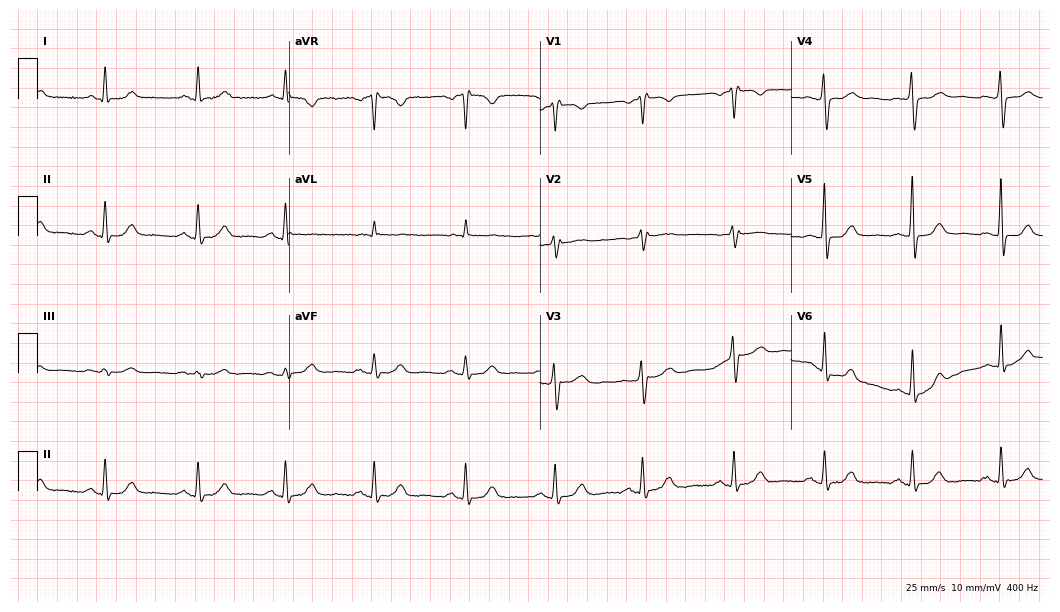
Standard 12-lead ECG recorded from a female, 76 years old. None of these six findings is recorded: first-degree AV block, right bundle branch block, left bundle branch block, sinus bradycardia, atrial fibrillation, sinus tachycardia.